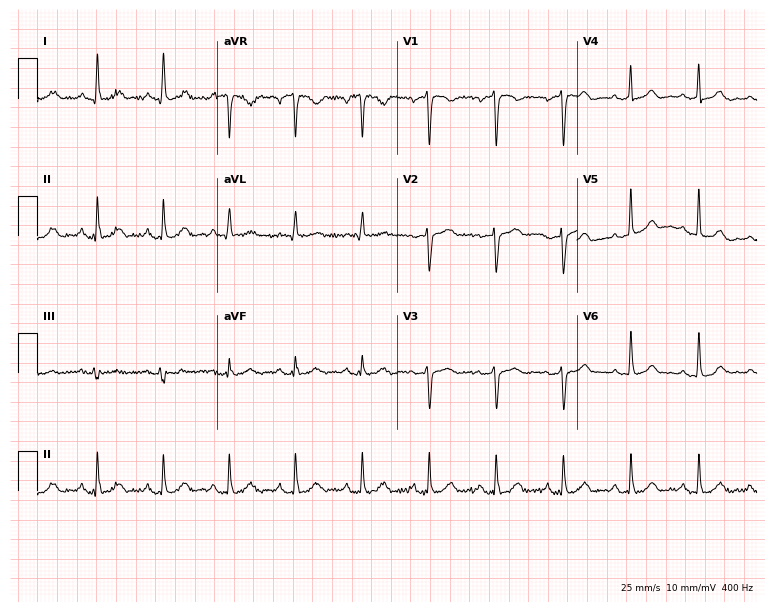
Resting 12-lead electrocardiogram (7.3-second recording at 400 Hz). Patient: a 69-year-old female. Read as a normal ECG.